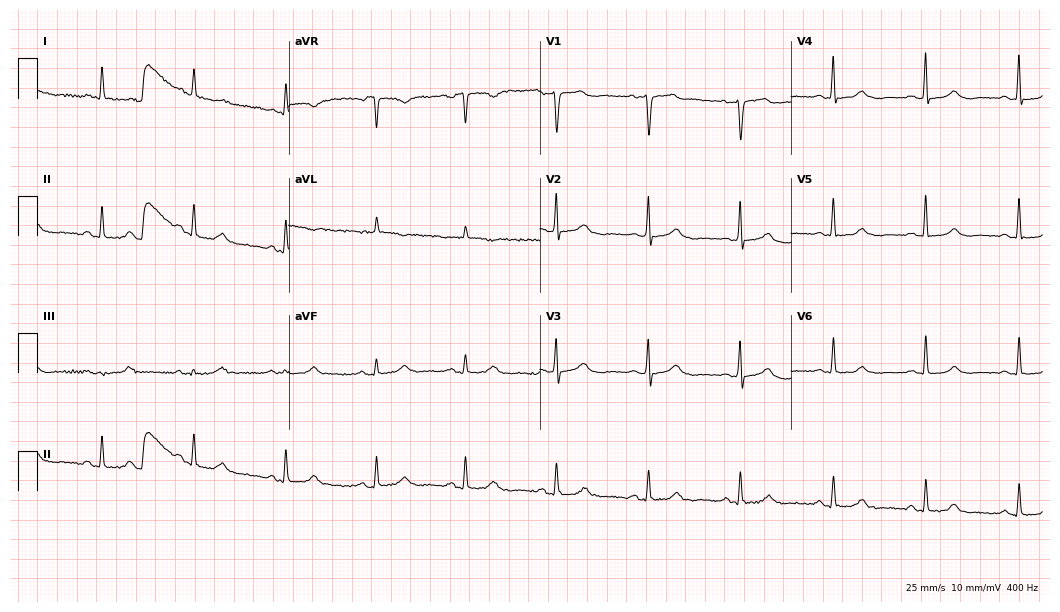
Electrocardiogram (10.2-second recording at 400 Hz), a 68-year-old female. Overall reading on record: normal ECG.